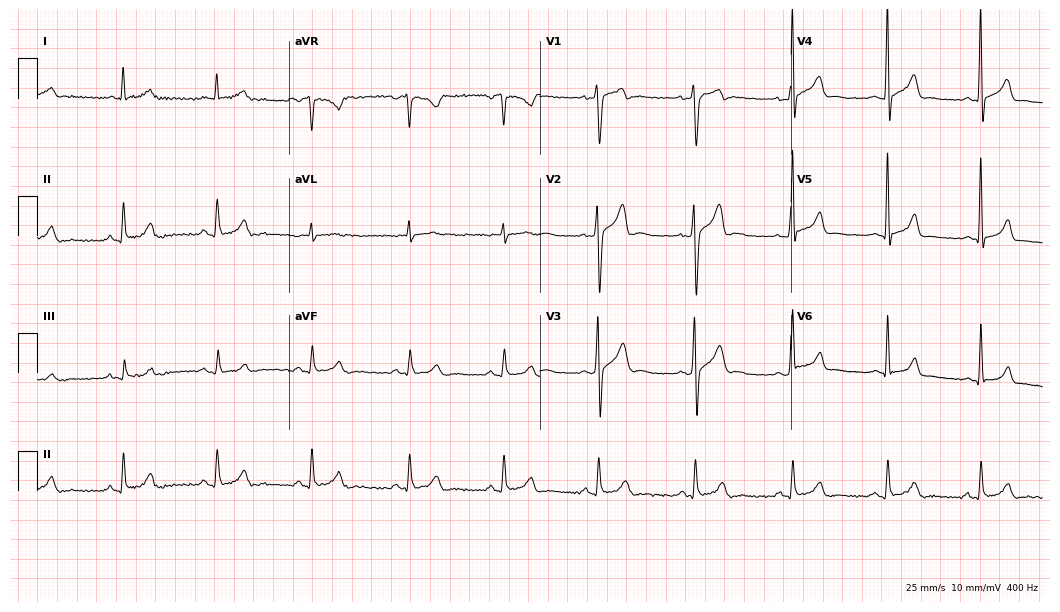
12-lead ECG from a 32-year-old male. Screened for six findings — first-degree AV block, right bundle branch block, left bundle branch block, sinus bradycardia, atrial fibrillation, sinus tachycardia — none is recorded. Only these six findings were labelled.